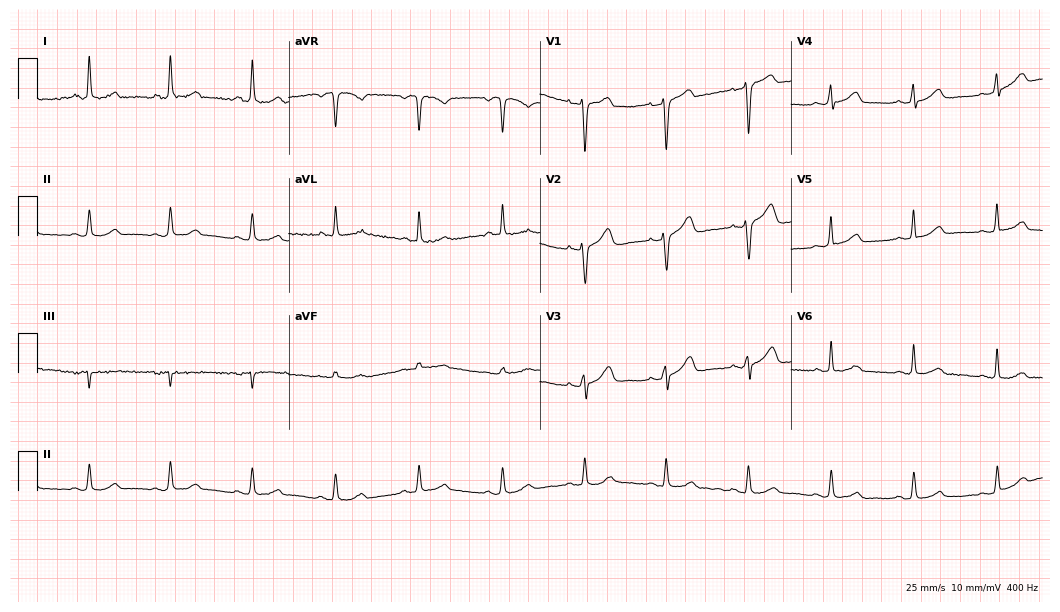
12-lead ECG from a 60-year-old woman. Labelled as a normal ECG.